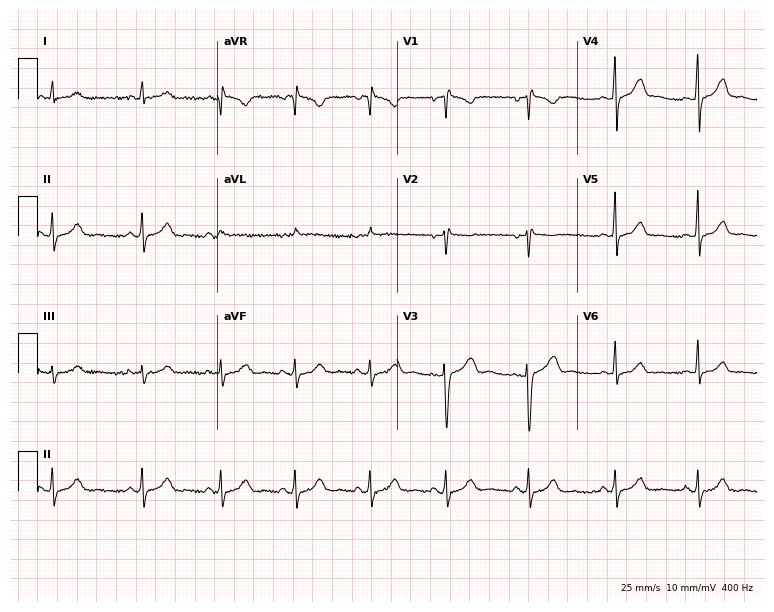
12-lead ECG from a 28-year-old female. Screened for six findings — first-degree AV block, right bundle branch block, left bundle branch block, sinus bradycardia, atrial fibrillation, sinus tachycardia — none is recorded.